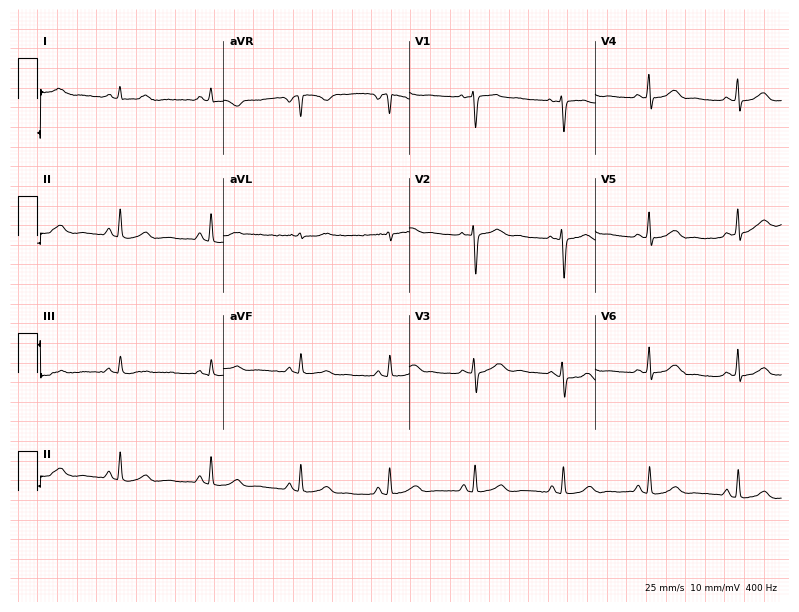
Resting 12-lead electrocardiogram. Patient: a female, 35 years old. Read as a normal ECG.